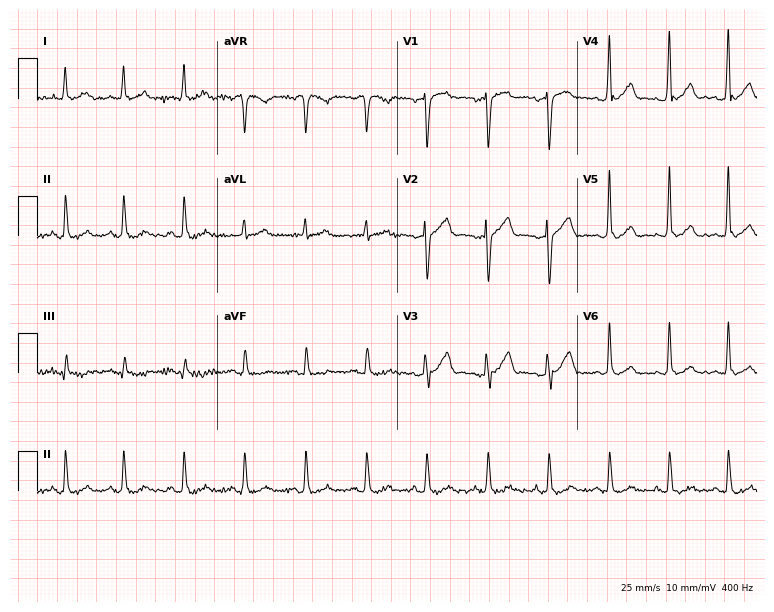
Standard 12-lead ECG recorded from a 65-year-old man. None of these six findings is recorded: first-degree AV block, right bundle branch block (RBBB), left bundle branch block (LBBB), sinus bradycardia, atrial fibrillation (AF), sinus tachycardia.